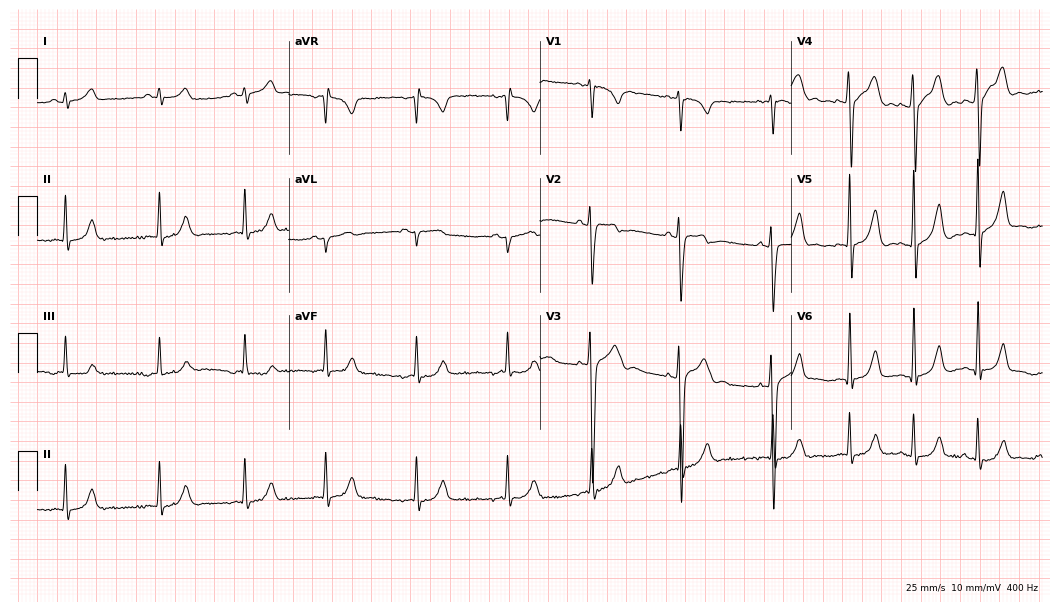
12-lead ECG from a 20-year-old male. Recorded interpretation: within normal limits.